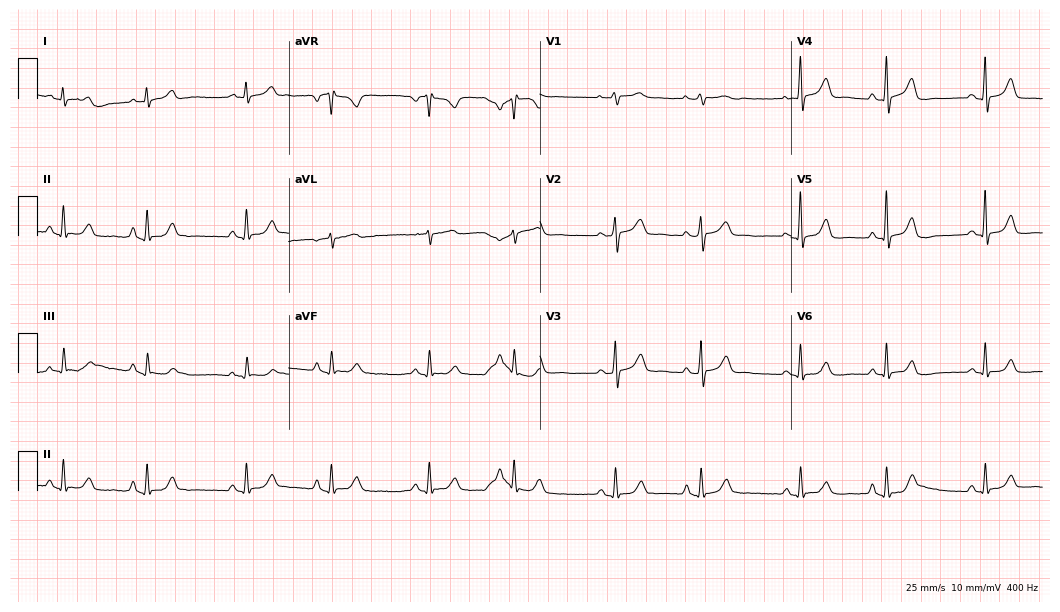
12-lead ECG from a woman, 55 years old (10.2-second recording at 400 Hz). No first-degree AV block, right bundle branch block, left bundle branch block, sinus bradycardia, atrial fibrillation or sinus tachycardia recorded for this tracing. Findings outside these six are not listed.